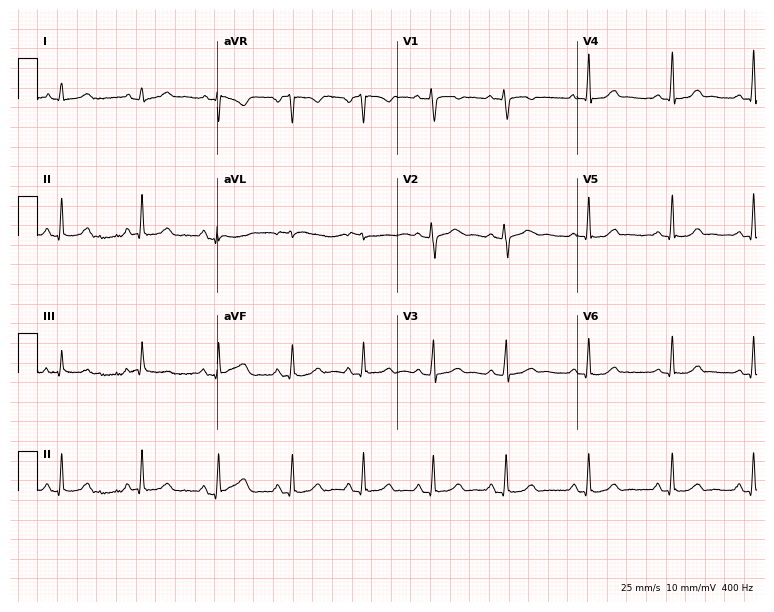
12-lead ECG (7.3-second recording at 400 Hz) from a 27-year-old female. Labelled as a normal ECG.